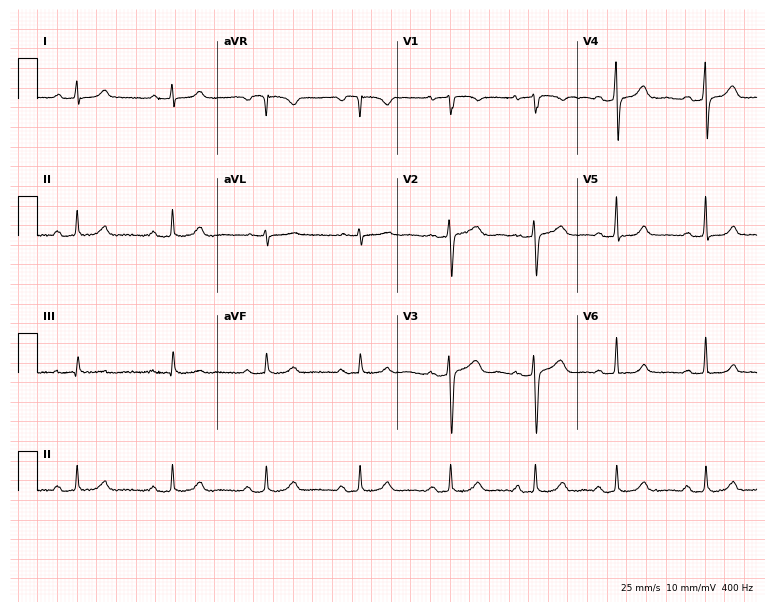
Resting 12-lead electrocardiogram. Patient: a 34-year-old female. Read as a normal ECG.